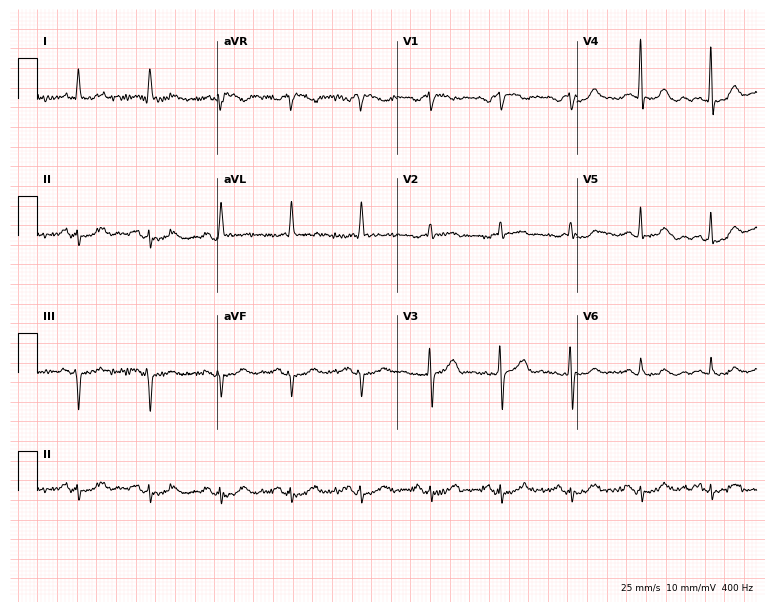
ECG — a male, 72 years old. Screened for six findings — first-degree AV block, right bundle branch block, left bundle branch block, sinus bradycardia, atrial fibrillation, sinus tachycardia — none is recorded. Other findings, if any, are not listed.